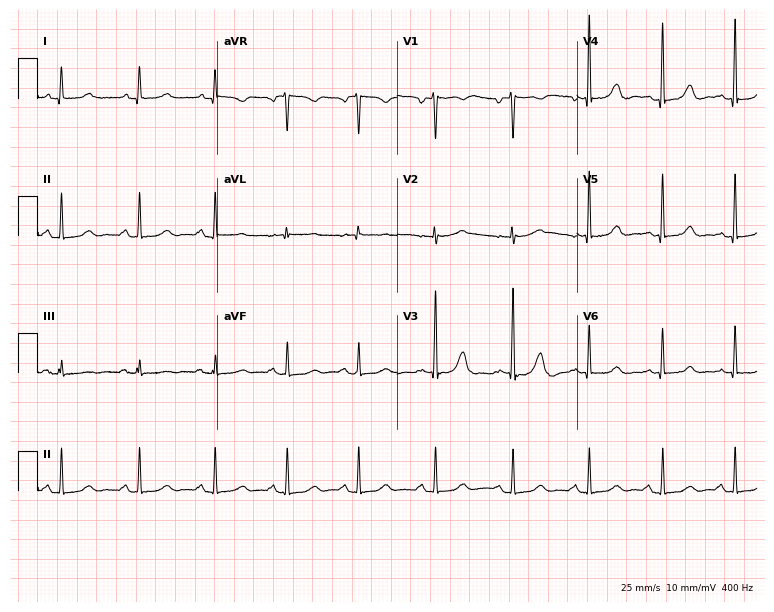
Electrocardiogram, a woman, 51 years old. Overall reading on record: normal ECG.